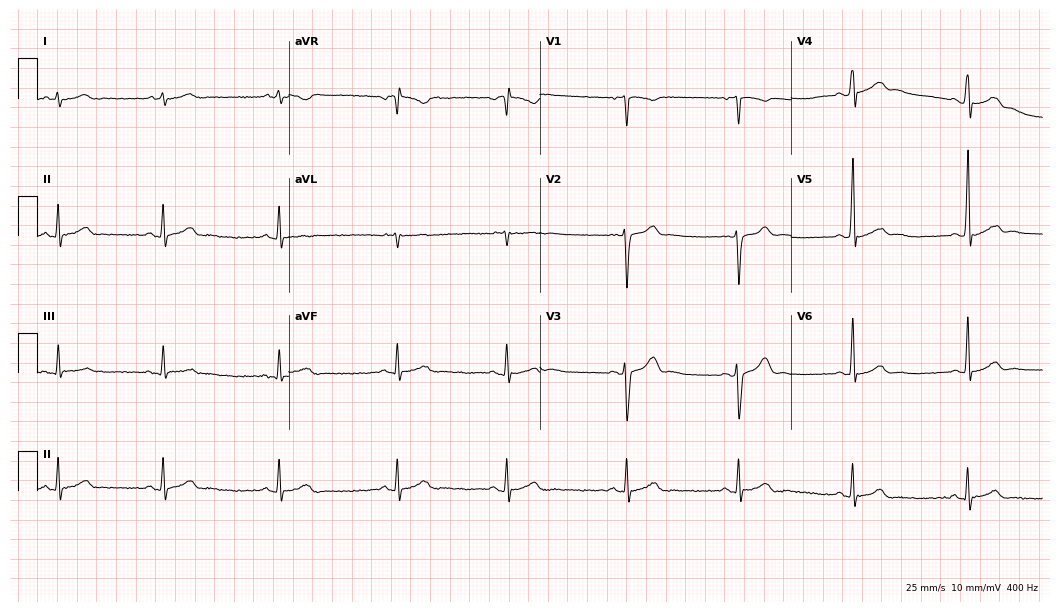
12-lead ECG from a male patient, 31 years old. Recorded interpretation: within normal limits.